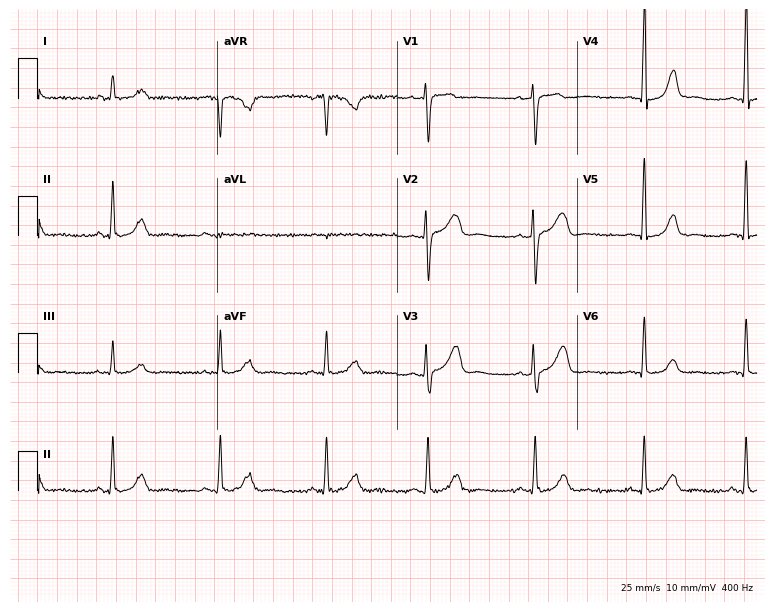
ECG (7.3-second recording at 400 Hz) — a woman, 46 years old. Labelled as a normal ECG.